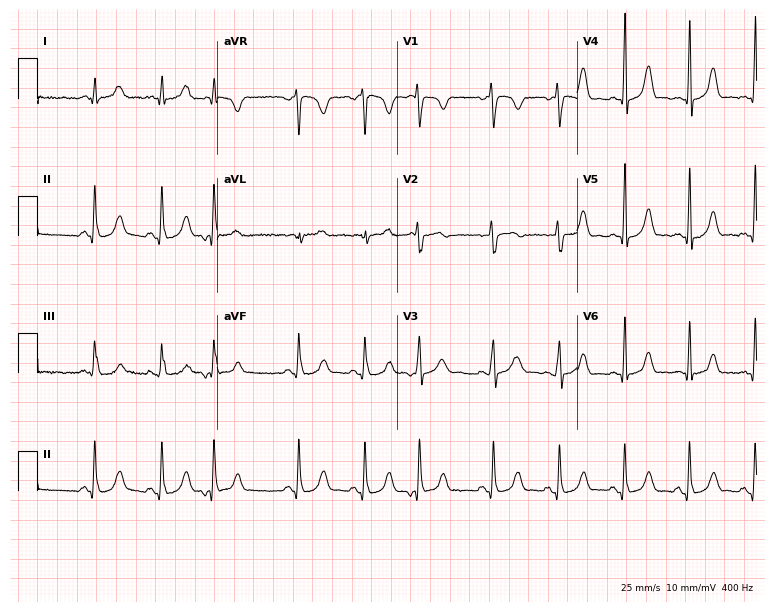
ECG (7.3-second recording at 400 Hz) — a female, 23 years old. Labelled as a normal ECG.